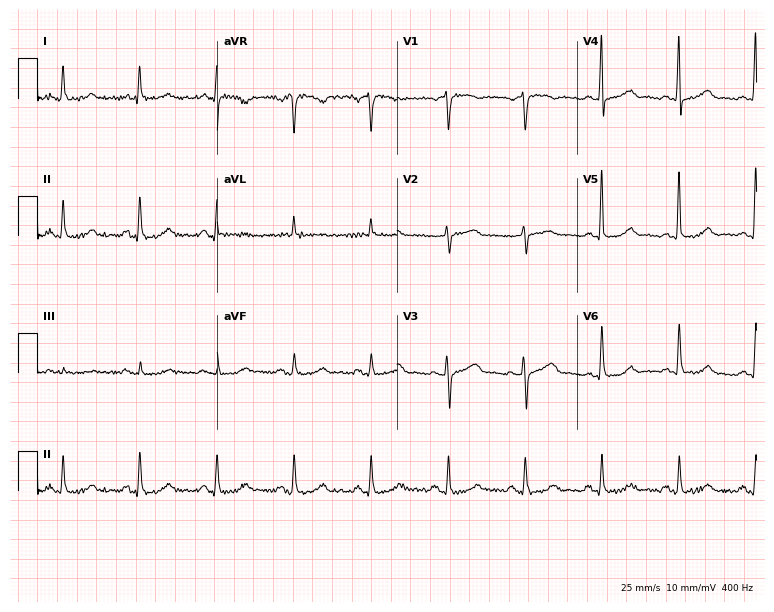
Resting 12-lead electrocardiogram. Patient: a female, 60 years old. None of these six findings is recorded: first-degree AV block, right bundle branch block (RBBB), left bundle branch block (LBBB), sinus bradycardia, atrial fibrillation (AF), sinus tachycardia.